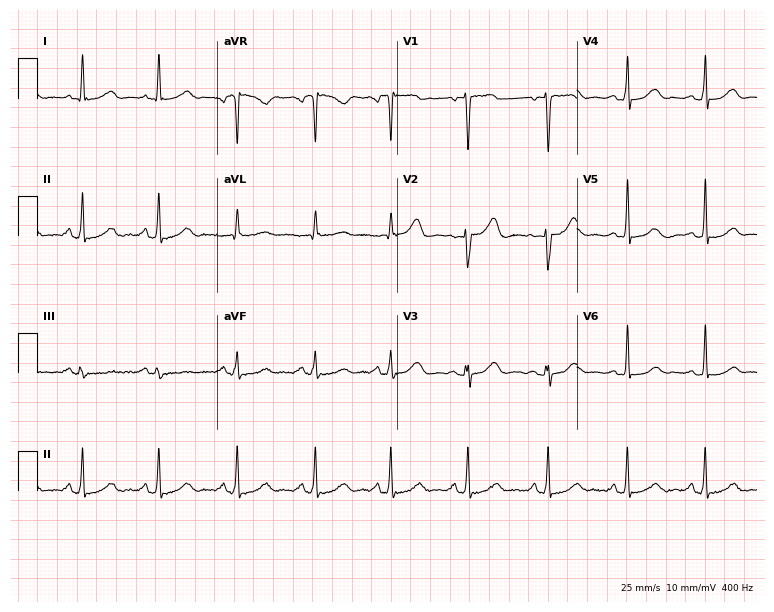
ECG — a woman, 37 years old. Labelled as a normal ECG.